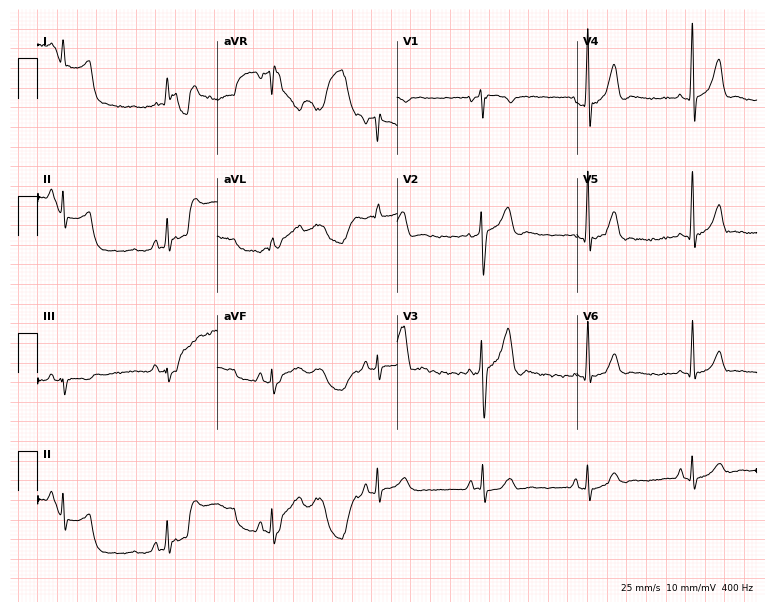
Electrocardiogram, a man, 24 years old. Of the six screened findings (first-degree AV block, right bundle branch block, left bundle branch block, sinus bradycardia, atrial fibrillation, sinus tachycardia), none is recorded. Other findings, if any, are not listed.